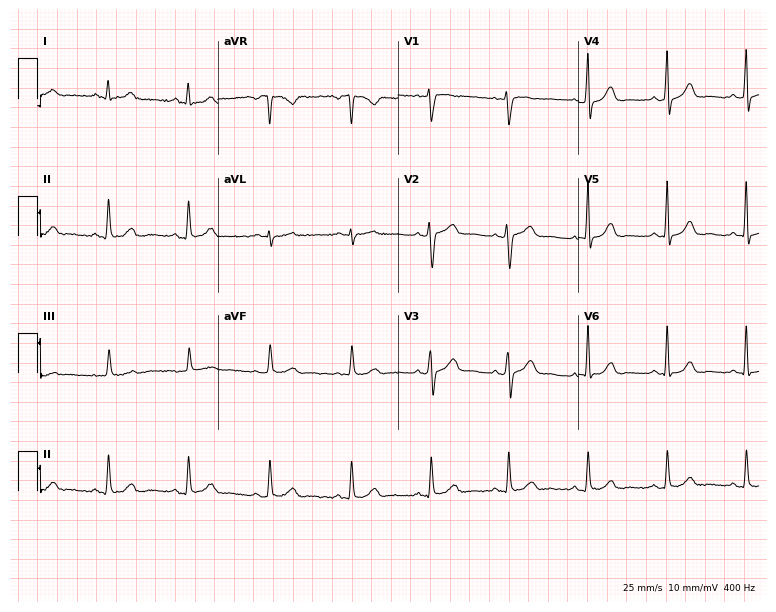
Electrocardiogram, a female, 58 years old. Overall reading on record: normal ECG.